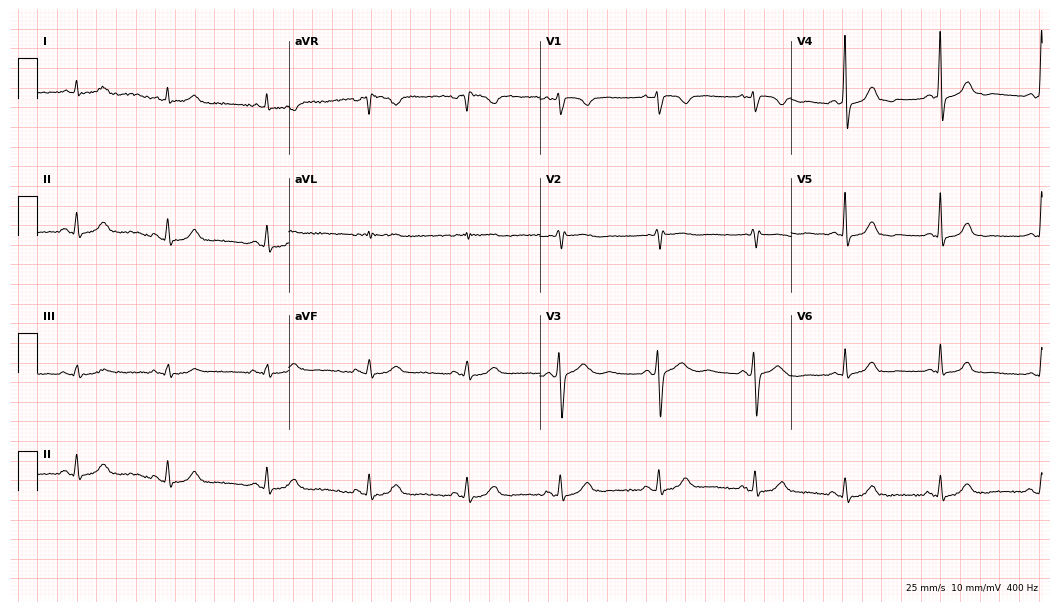
Electrocardiogram, a female patient, 49 years old. Overall reading on record: normal ECG.